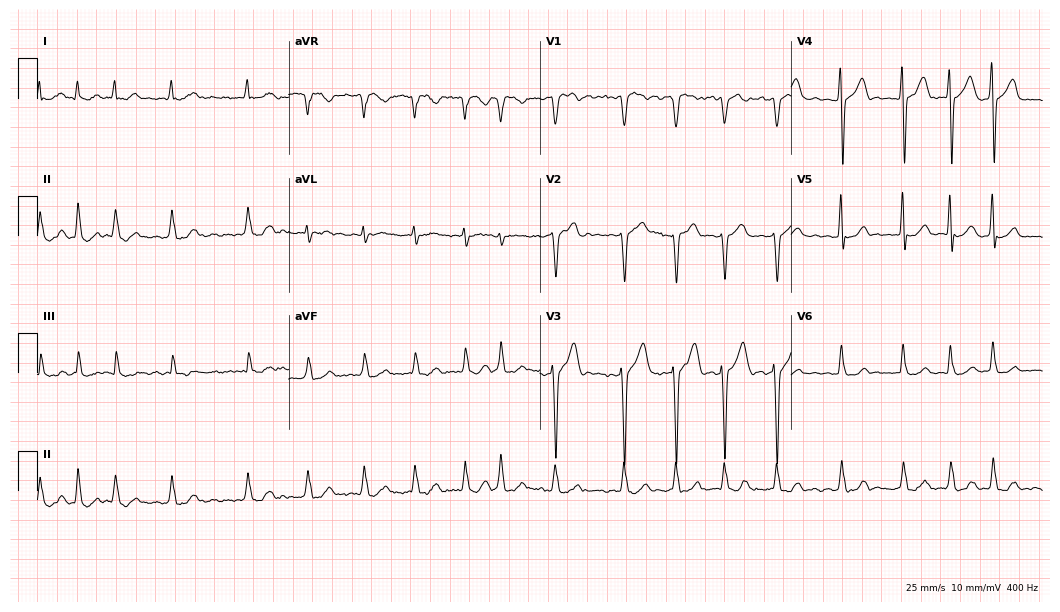
Electrocardiogram (10.2-second recording at 400 Hz), a male patient, 34 years old. Interpretation includes atrial fibrillation.